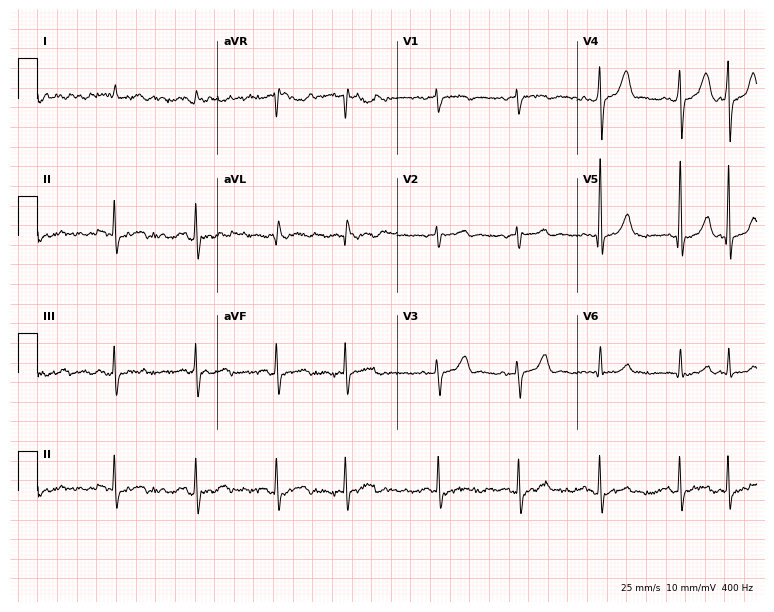
12-lead ECG from a male patient, 73 years old. No first-degree AV block, right bundle branch block, left bundle branch block, sinus bradycardia, atrial fibrillation or sinus tachycardia recorded for this tracing. Only these six findings were labelled.